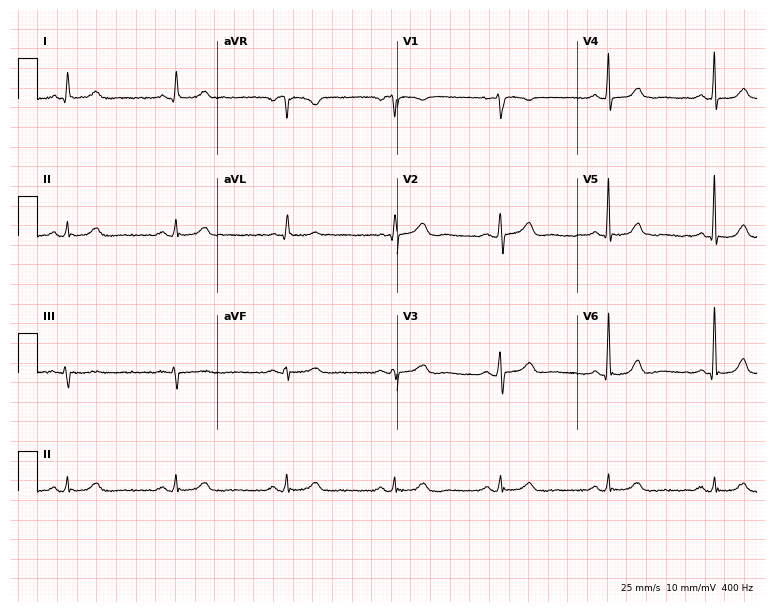
ECG — a 78-year-old woman. Screened for six findings — first-degree AV block, right bundle branch block, left bundle branch block, sinus bradycardia, atrial fibrillation, sinus tachycardia — none is recorded.